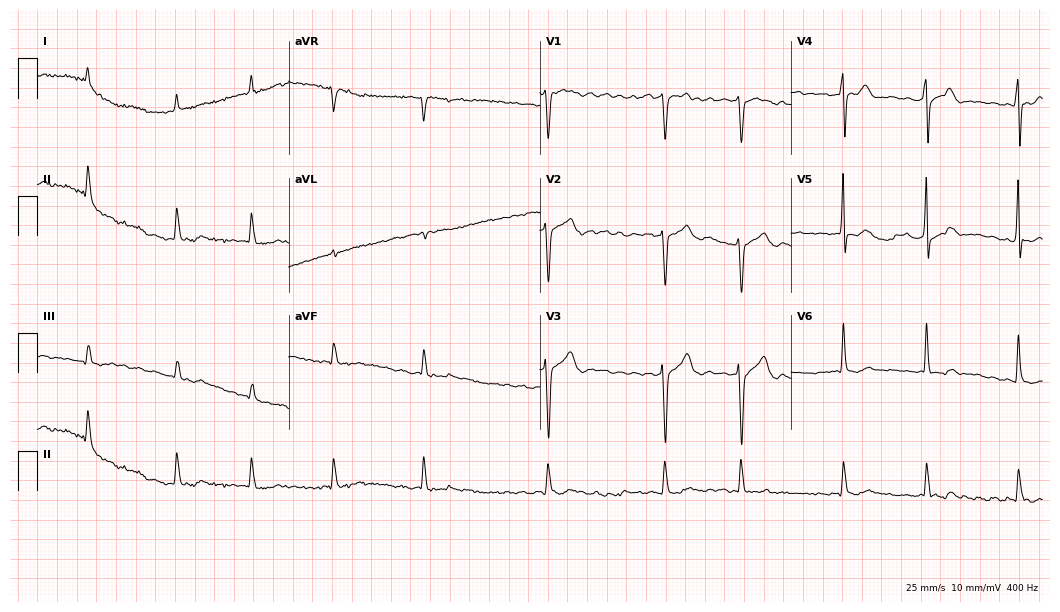
ECG (10.2-second recording at 400 Hz) — a 71-year-old male. Findings include atrial fibrillation.